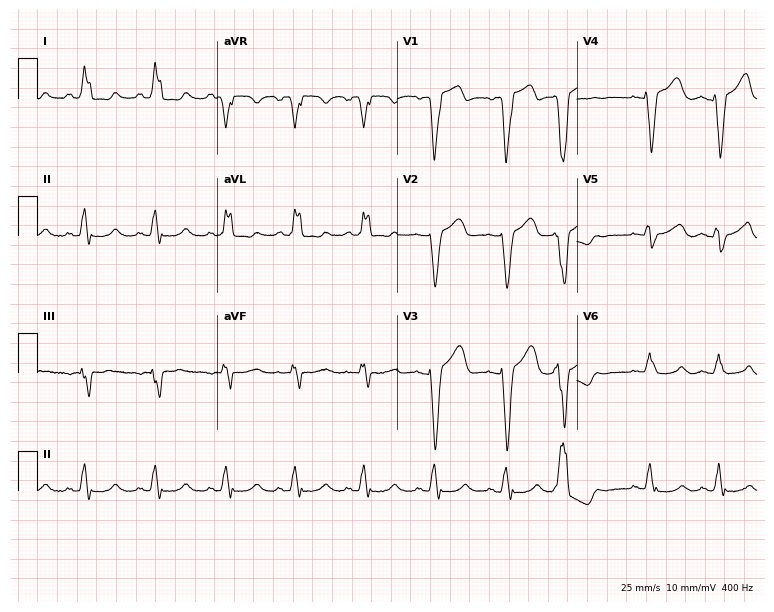
Resting 12-lead electrocardiogram (7.3-second recording at 400 Hz). Patient: a female, 65 years old. The tracing shows left bundle branch block.